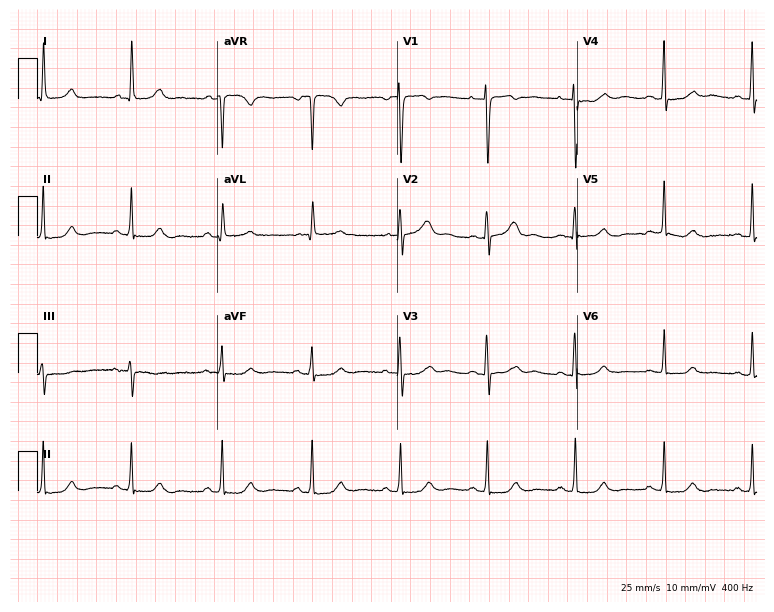
ECG — a 67-year-old woman. Labelled as a normal ECG.